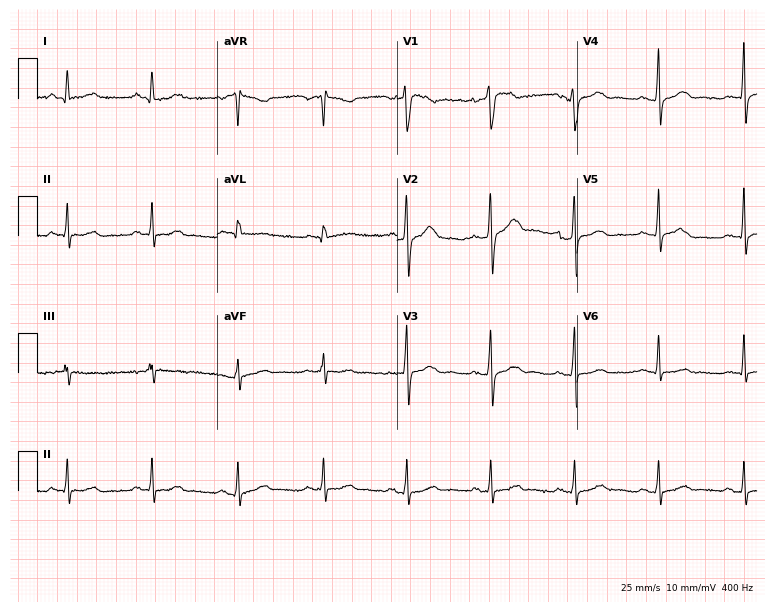
Electrocardiogram, a 46-year-old male. Overall reading on record: normal ECG.